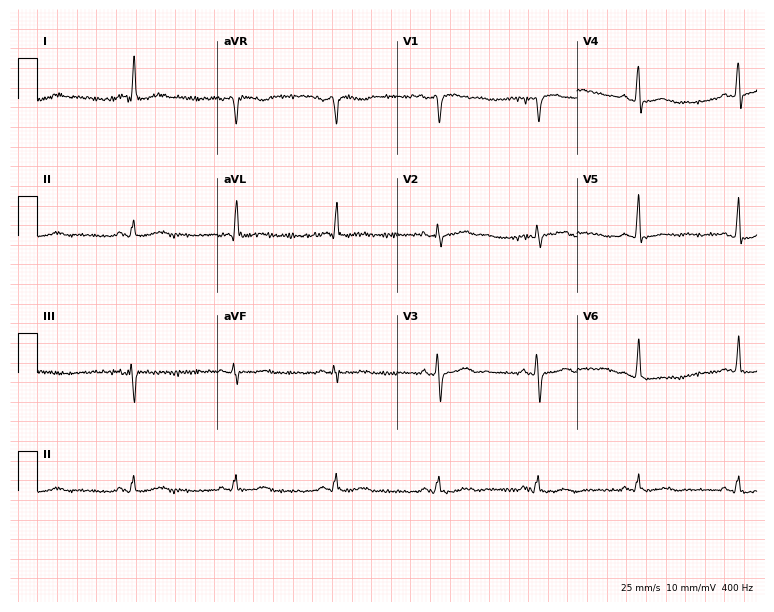
Electrocardiogram (7.3-second recording at 400 Hz), a female, 74 years old. Of the six screened findings (first-degree AV block, right bundle branch block (RBBB), left bundle branch block (LBBB), sinus bradycardia, atrial fibrillation (AF), sinus tachycardia), none is recorded. Other findings, if any, are not listed.